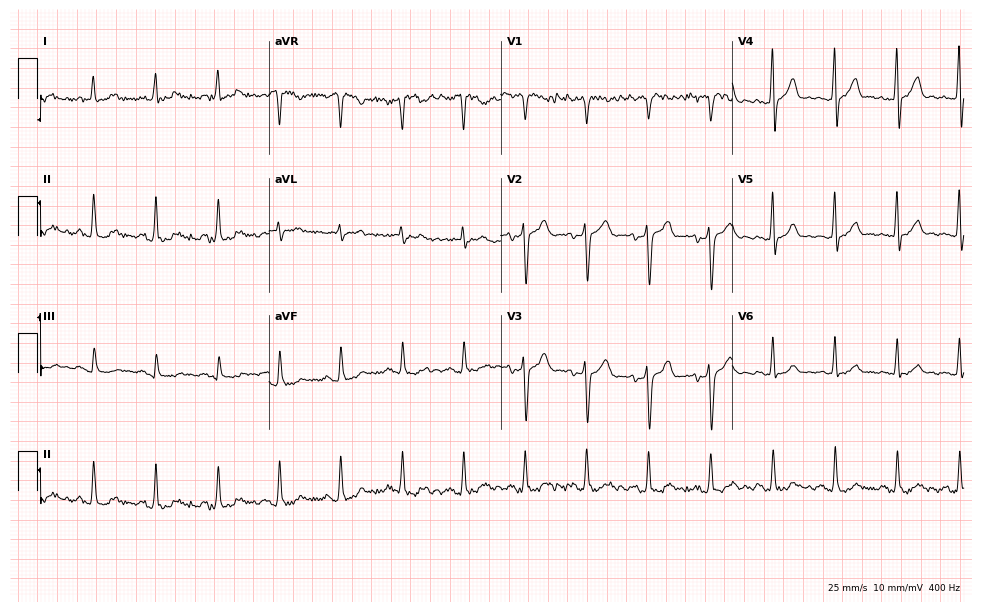
ECG — a 26-year-old man. Labelled as a normal ECG.